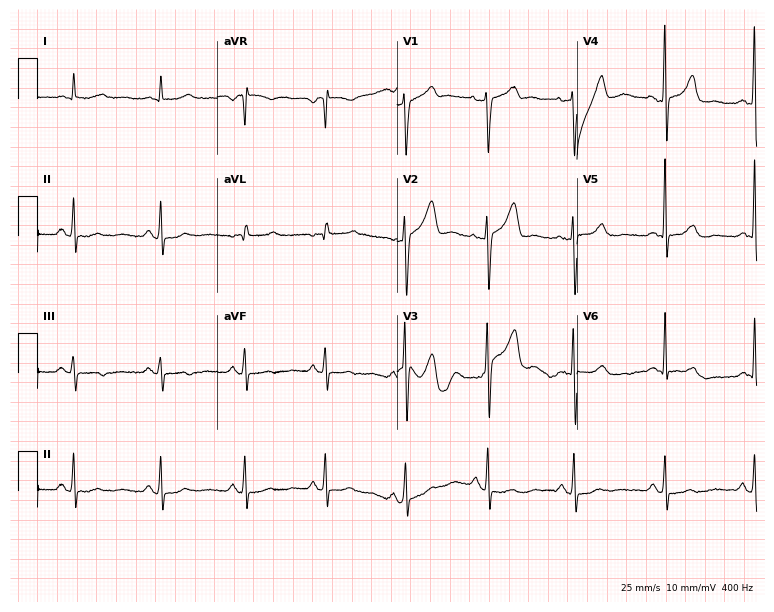
Electrocardiogram (7.3-second recording at 400 Hz), a man, 57 years old. Of the six screened findings (first-degree AV block, right bundle branch block, left bundle branch block, sinus bradycardia, atrial fibrillation, sinus tachycardia), none is recorded.